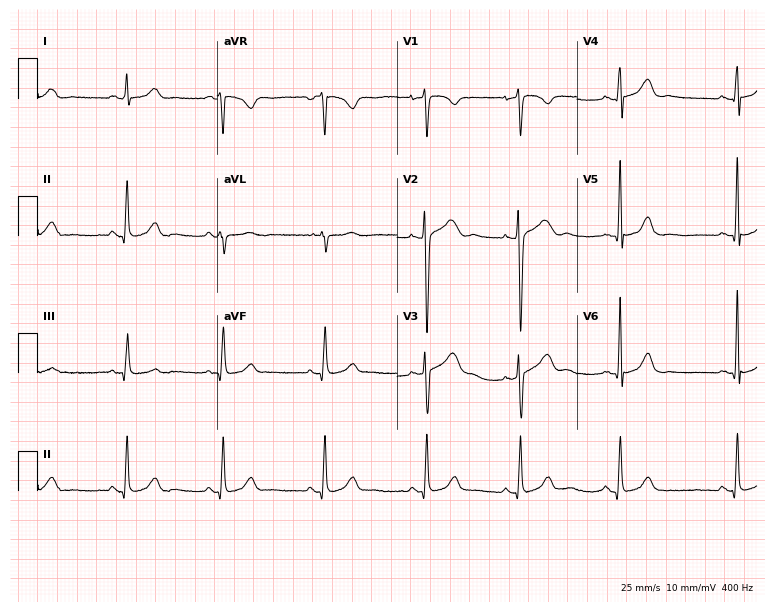
12-lead ECG from a 30-year-old man. Labelled as a normal ECG.